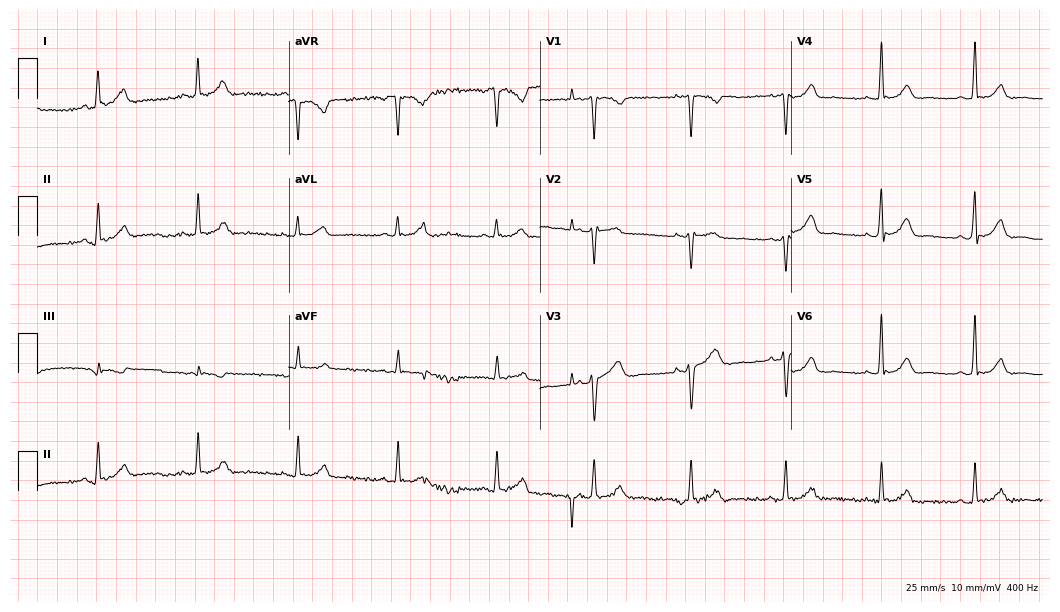
Electrocardiogram (10.2-second recording at 400 Hz), a female, 58 years old. Of the six screened findings (first-degree AV block, right bundle branch block (RBBB), left bundle branch block (LBBB), sinus bradycardia, atrial fibrillation (AF), sinus tachycardia), none is recorded.